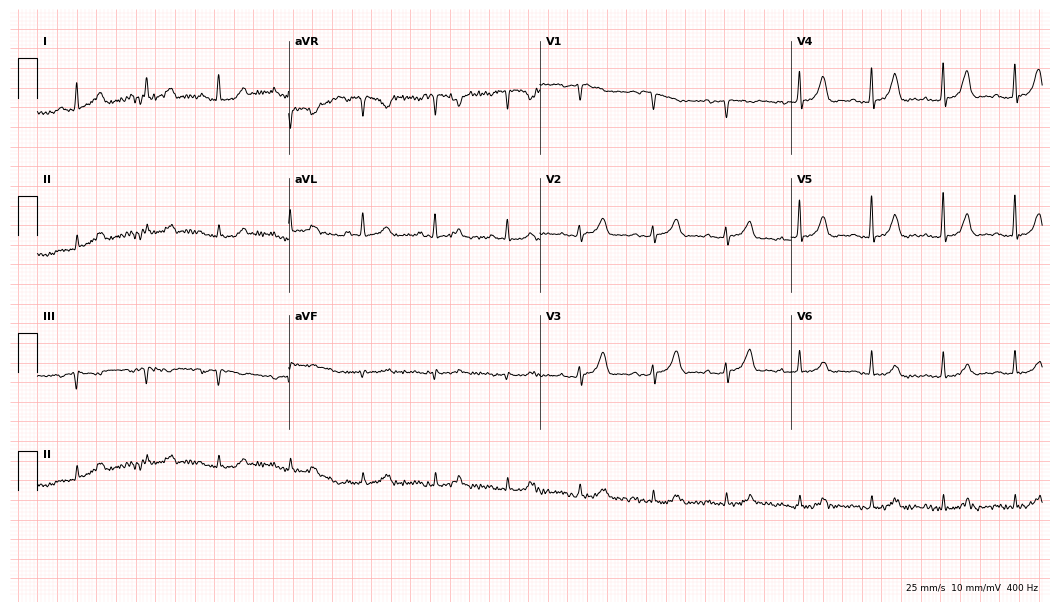
Standard 12-lead ECG recorded from a female patient, 83 years old (10.2-second recording at 400 Hz). None of these six findings is recorded: first-degree AV block, right bundle branch block, left bundle branch block, sinus bradycardia, atrial fibrillation, sinus tachycardia. Only these six findings were labelled.